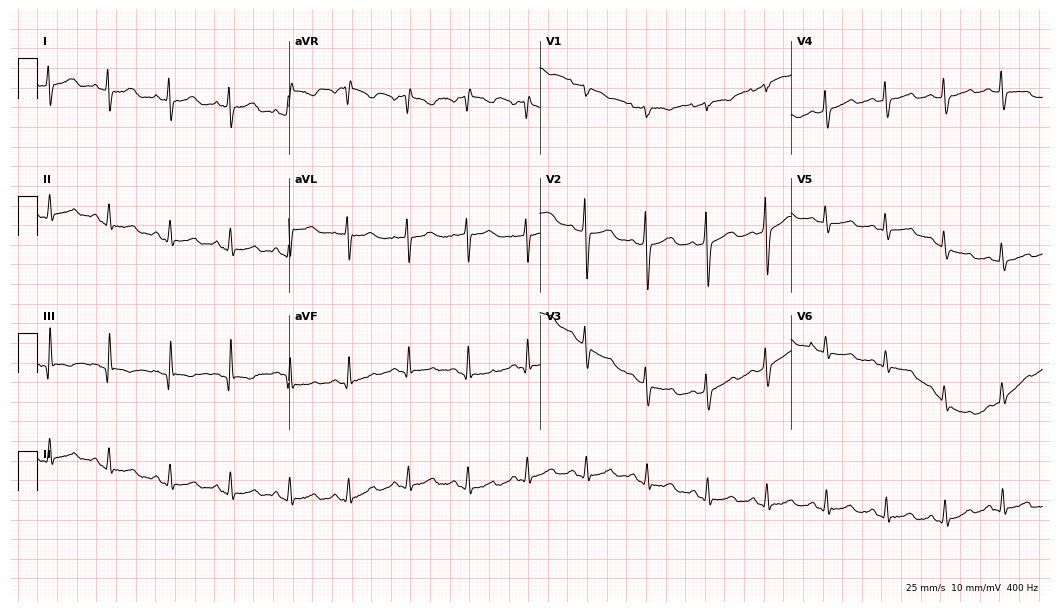
12-lead ECG from a female, 50 years old. Recorded interpretation: within normal limits.